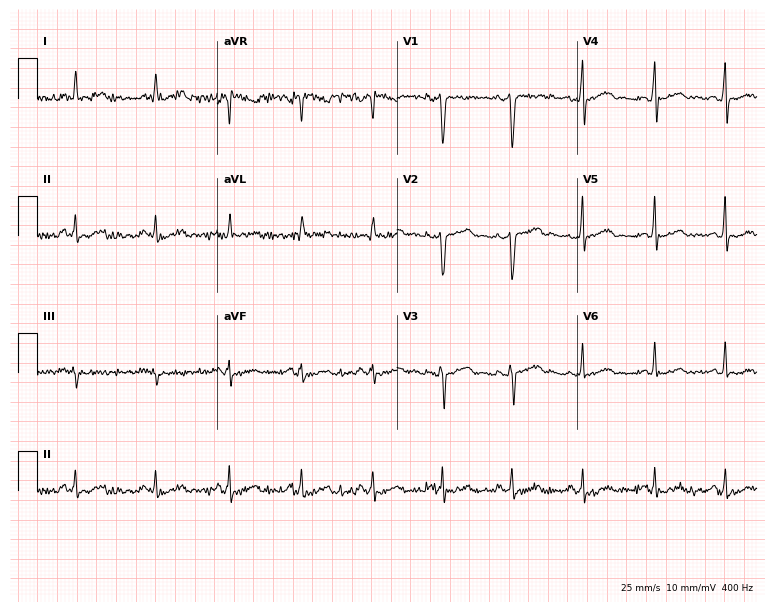
Resting 12-lead electrocardiogram. Patient: a 30-year-old female. None of these six findings is recorded: first-degree AV block, right bundle branch block, left bundle branch block, sinus bradycardia, atrial fibrillation, sinus tachycardia. Findings outside these six are not listed.